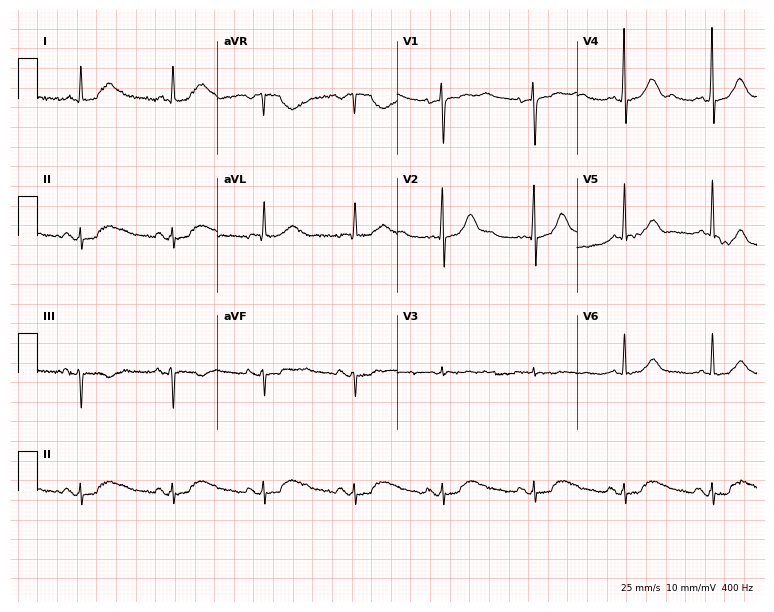
12-lead ECG from a female, 77 years old. Screened for six findings — first-degree AV block, right bundle branch block, left bundle branch block, sinus bradycardia, atrial fibrillation, sinus tachycardia — none is recorded.